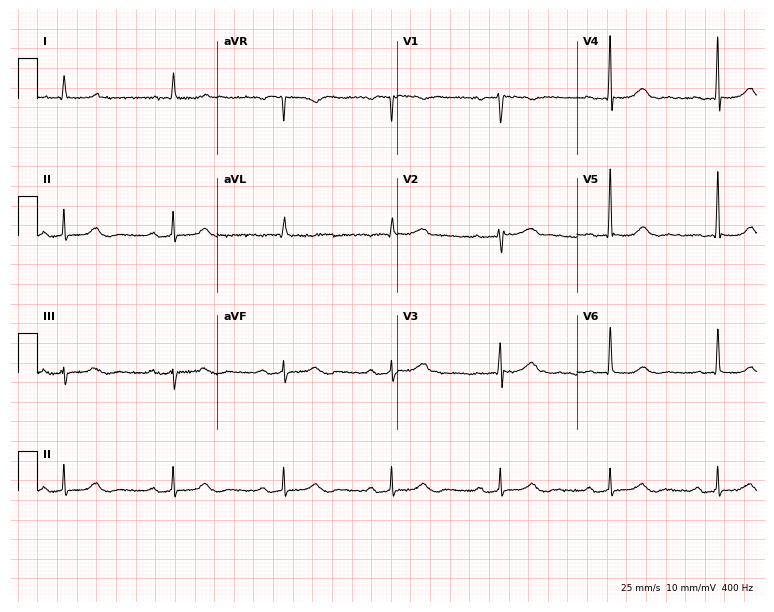
Standard 12-lead ECG recorded from a 74-year-old woman. The tracing shows first-degree AV block.